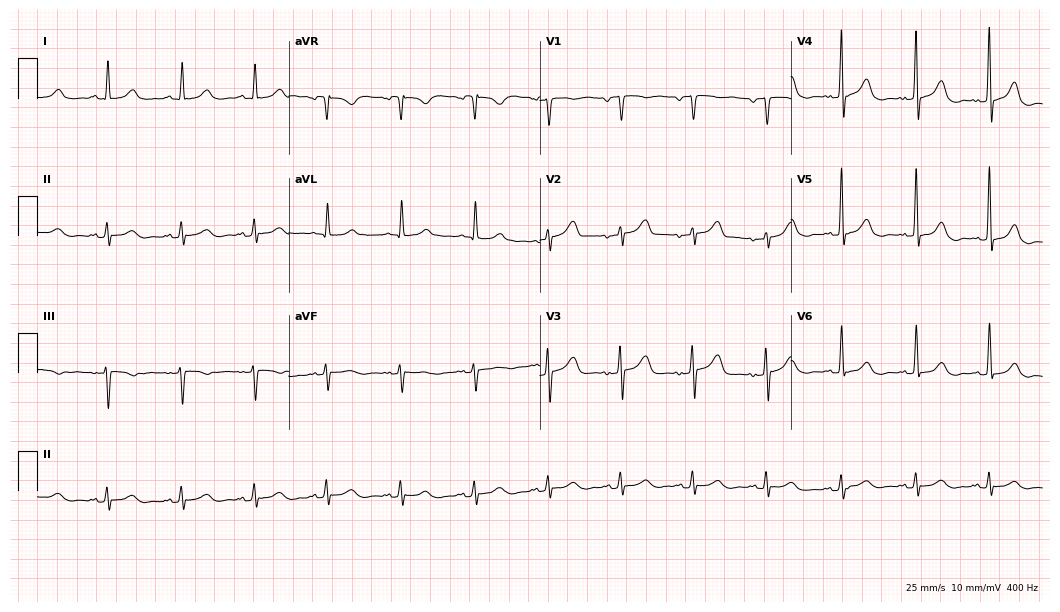
ECG (10.2-second recording at 400 Hz) — a 61-year-old woman. Labelled as a normal ECG.